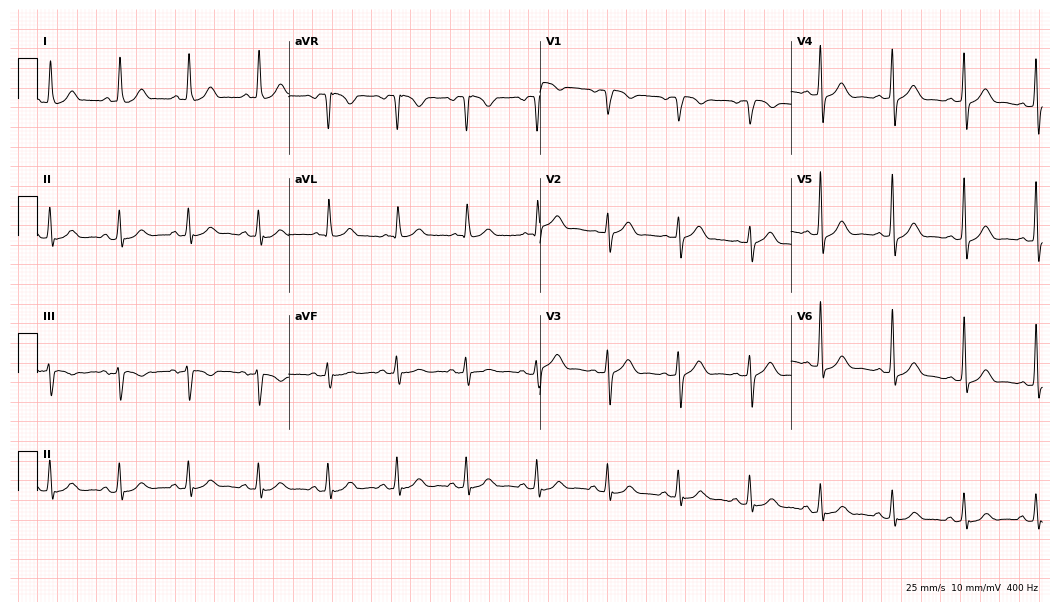
12-lead ECG (10.2-second recording at 400 Hz) from a 77-year-old woman. Labelled as a normal ECG.